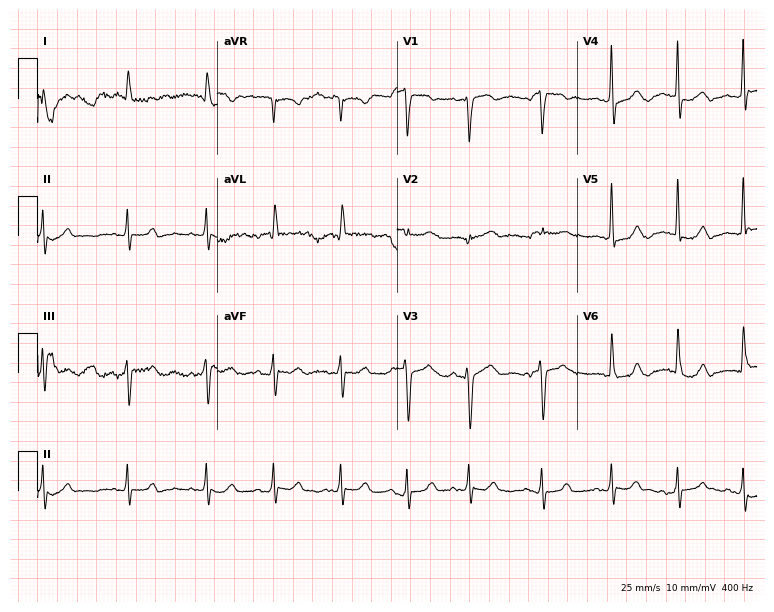
12-lead ECG from a 69-year-old female. Labelled as a normal ECG.